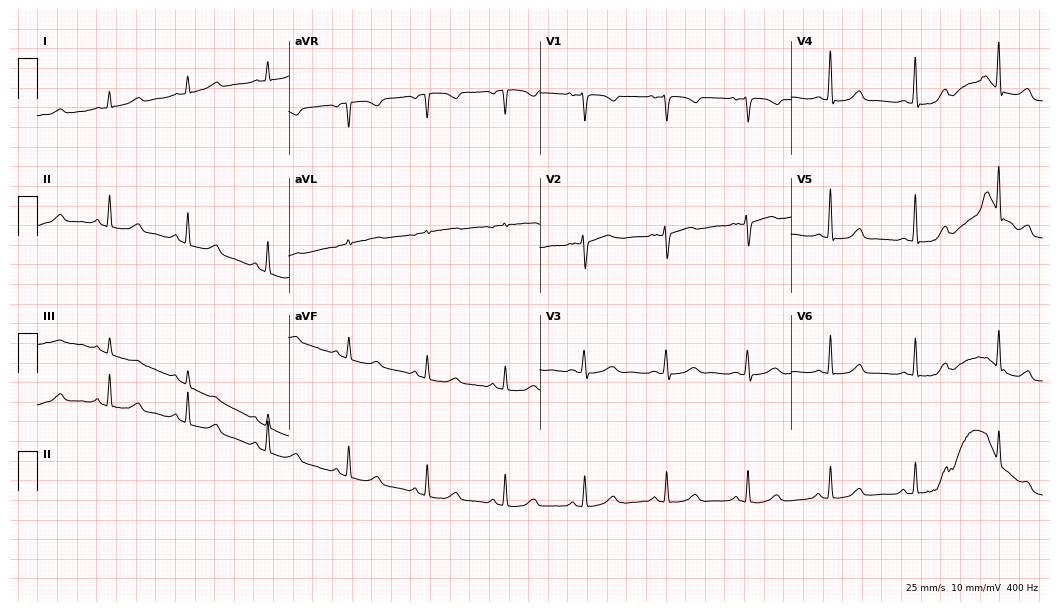
Resting 12-lead electrocardiogram. Patient: a female, 52 years old. None of these six findings is recorded: first-degree AV block, right bundle branch block, left bundle branch block, sinus bradycardia, atrial fibrillation, sinus tachycardia. Other findings, if any, are not listed.